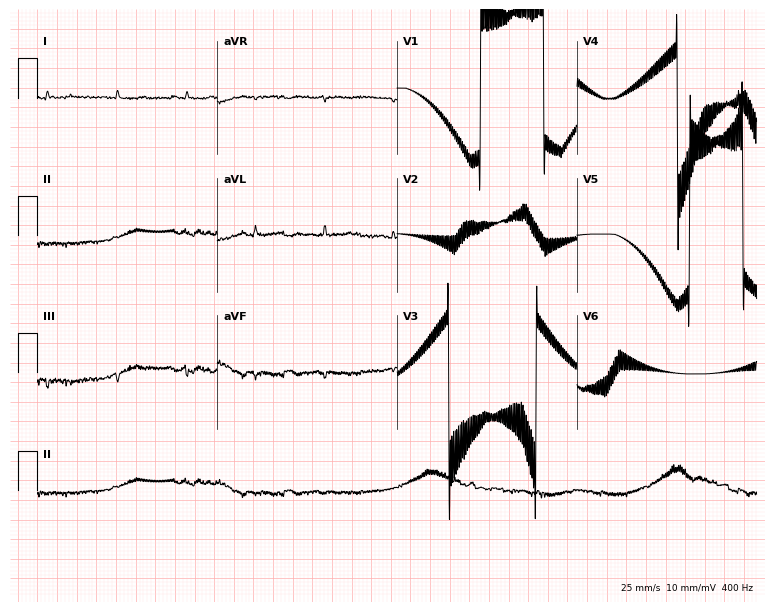
ECG (7.3-second recording at 400 Hz) — a female patient, 80 years old. Screened for six findings — first-degree AV block, right bundle branch block, left bundle branch block, sinus bradycardia, atrial fibrillation, sinus tachycardia — none is recorded.